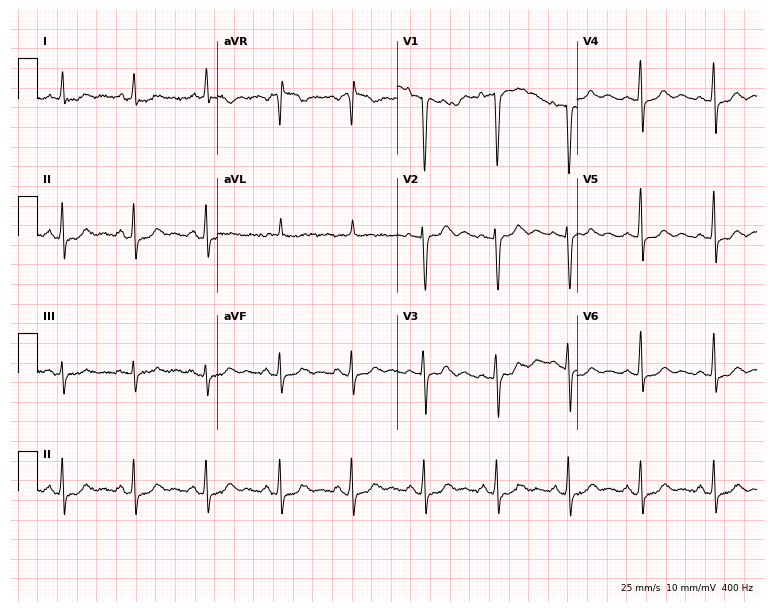
12-lead ECG from a 68-year-old woman. Screened for six findings — first-degree AV block, right bundle branch block (RBBB), left bundle branch block (LBBB), sinus bradycardia, atrial fibrillation (AF), sinus tachycardia — none is recorded.